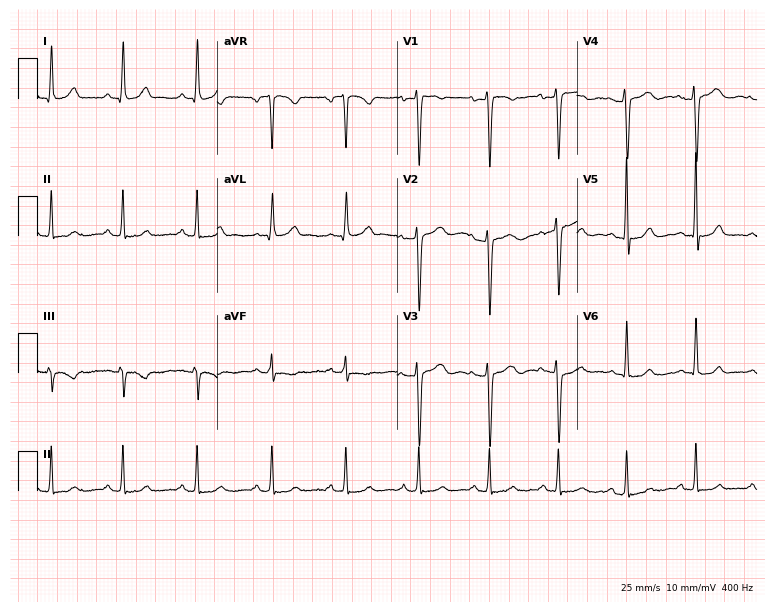
12-lead ECG from a female patient, 35 years old. No first-degree AV block, right bundle branch block, left bundle branch block, sinus bradycardia, atrial fibrillation or sinus tachycardia recorded for this tracing. Only these six findings were labelled.